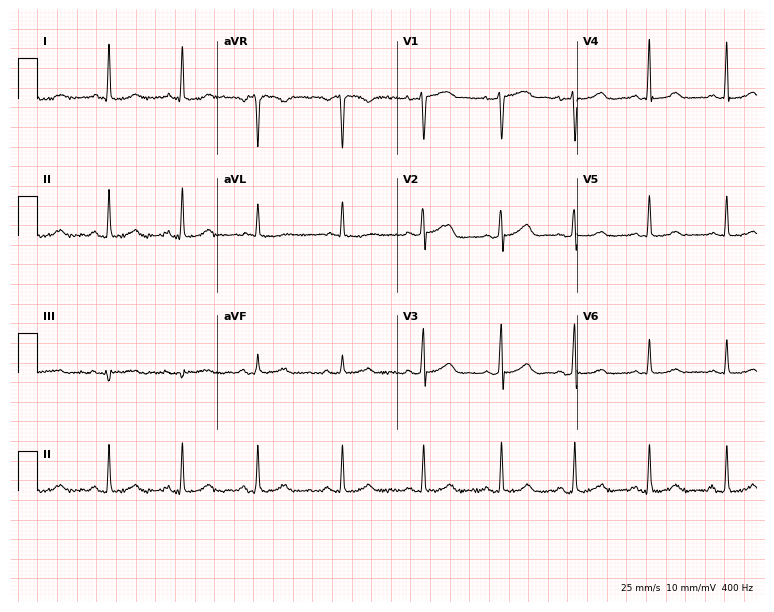
12-lead ECG (7.3-second recording at 400 Hz) from a female, 45 years old. Labelled as a normal ECG.